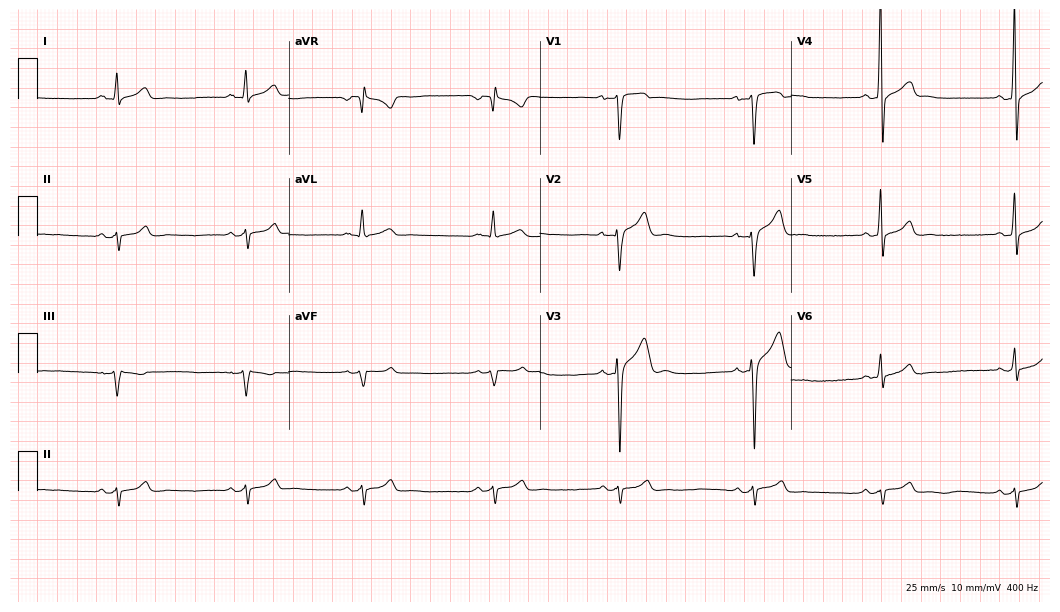
ECG — a 21-year-old male patient. Findings include sinus bradycardia (a sinus rate of 50 beats per minute or less).